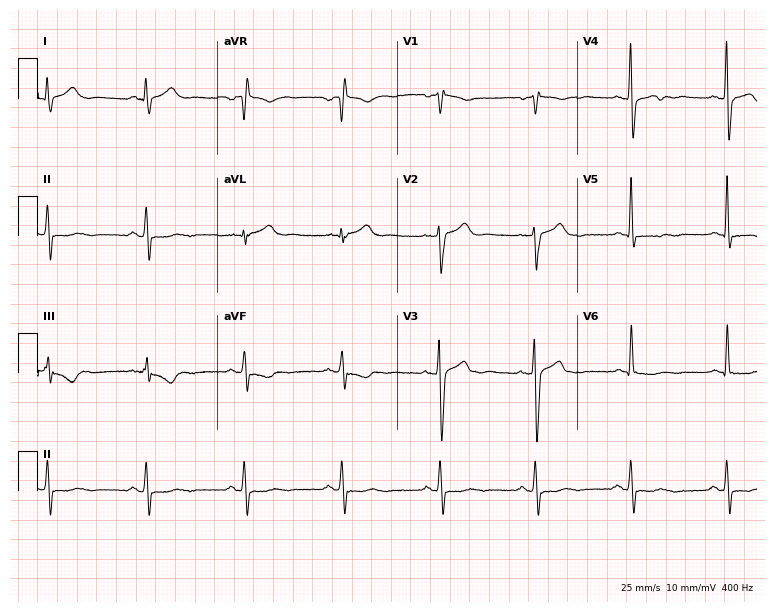
ECG — a man, 54 years old. Screened for six findings — first-degree AV block, right bundle branch block (RBBB), left bundle branch block (LBBB), sinus bradycardia, atrial fibrillation (AF), sinus tachycardia — none is recorded.